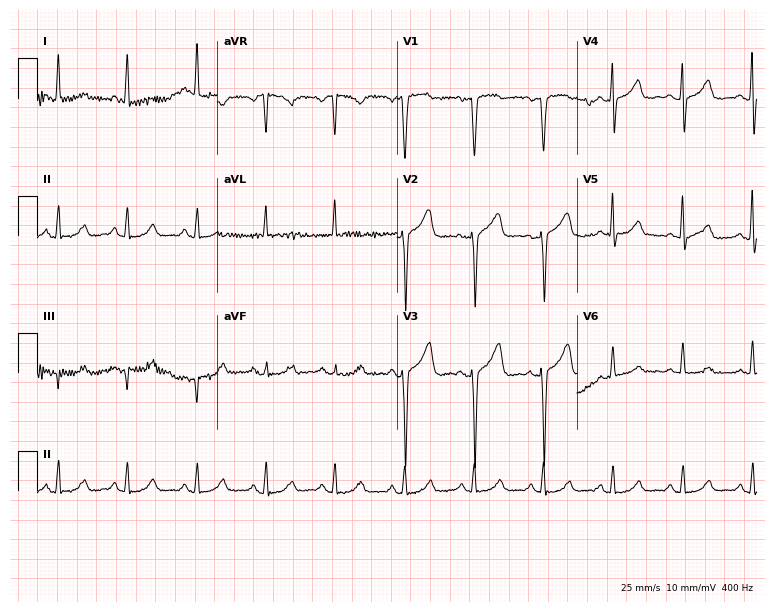
Resting 12-lead electrocardiogram. Patient: a woman, 59 years old. None of these six findings is recorded: first-degree AV block, right bundle branch block, left bundle branch block, sinus bradycardia, atrial fibrillation, sinus tachycardia. Findings outside these six are not listed.